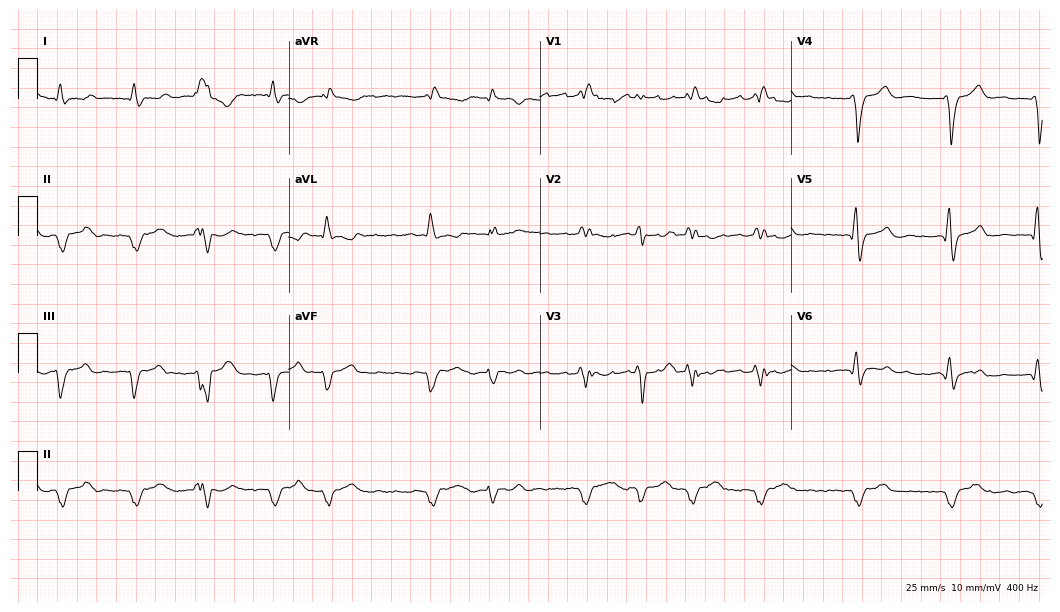
12-lead ECG from a 58-year-old female patient (10.2-second recording at 400 Hz). Shows right bundle branch block, atrial fibrillation.